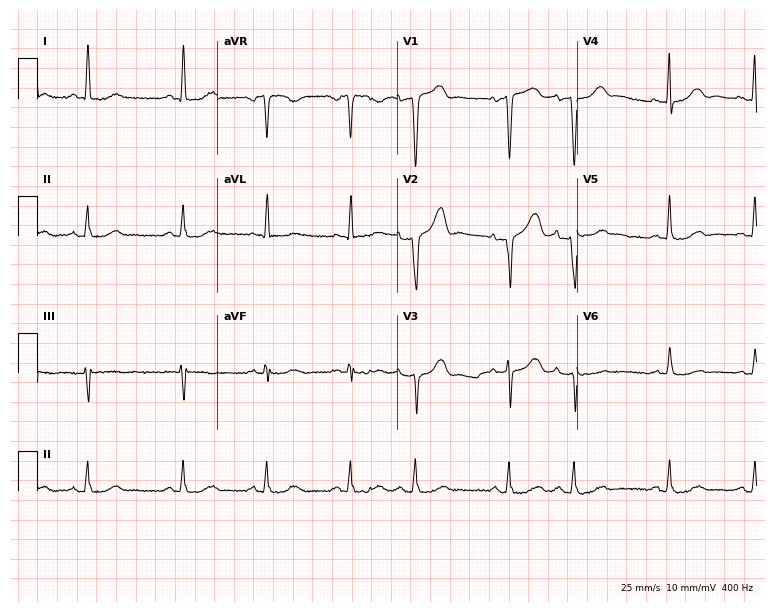
12-lead ECG from a female, 78 years old. Labelled as a normal ECG.